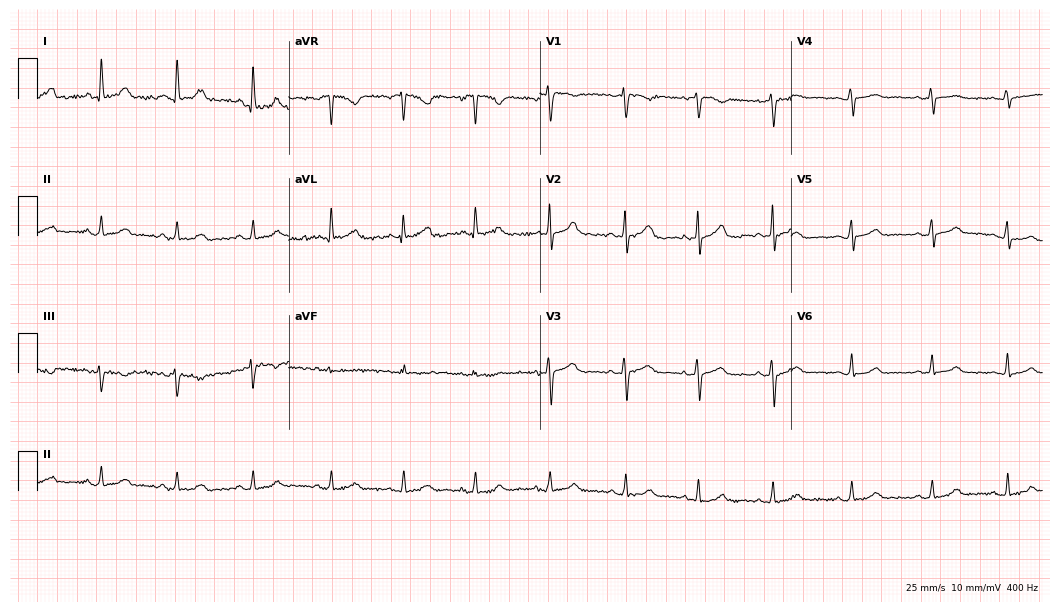
Standard 12-lead ECG recorded from a female, 41 years old (10.2-second recording at 400 Hz). None of these six findings is recorded: first-degree AV block, right bundle branch block (RBBB), left bundle branch block (LBBB), sinus bradycardia, atrial fibrillation (AF), sinus tachycardia.